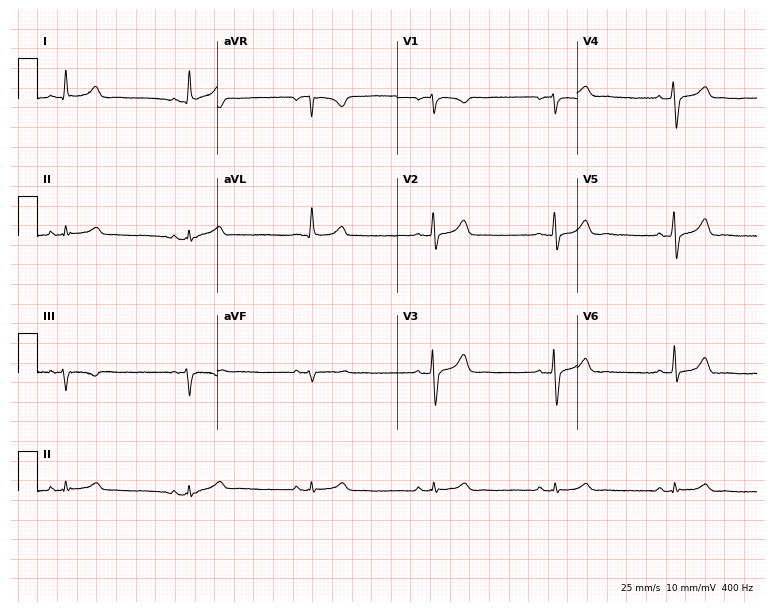
Resting 12-lead electrocardiogram (7.3-second recording at 400 Hz). Patient: a male, 68 years old. The tracing shows sinus bradycardia (a sinus rate of 50 beats per minute or less).